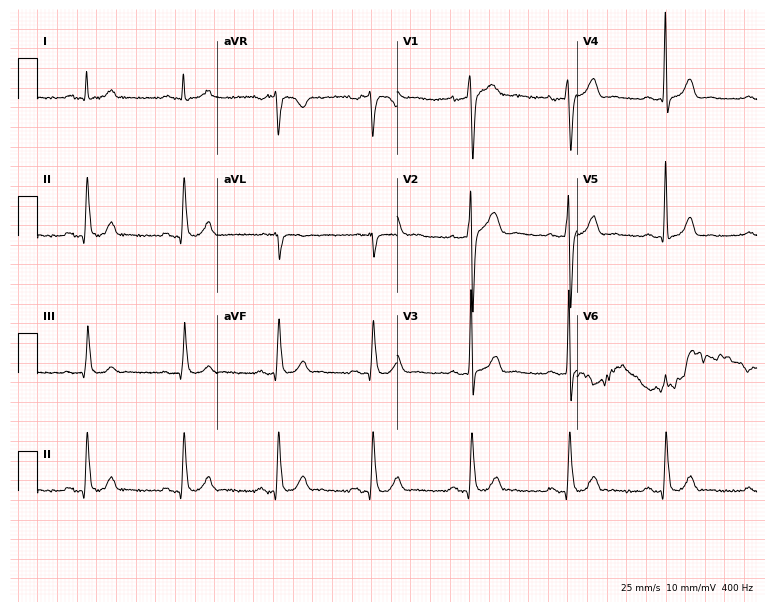
Electrocardiogram, a 53-year-old male. Of the six screened findings (first-degree AV block, right bundle branch block, left bundle branch block, sinus bradycardia, atrial fibrillation, sinus tachycardia), none is recorded.